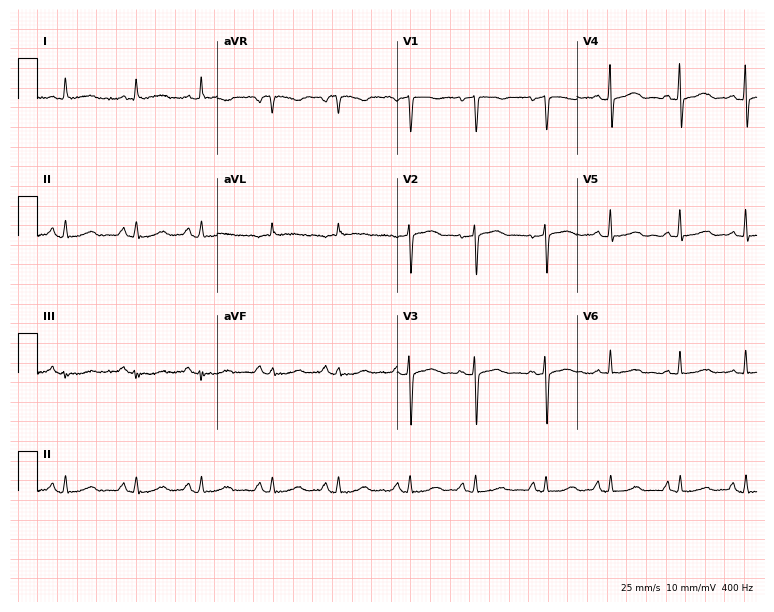
Standard 12-lead ECG recorded from a woman, 78 years old. Read as a normal ECG.